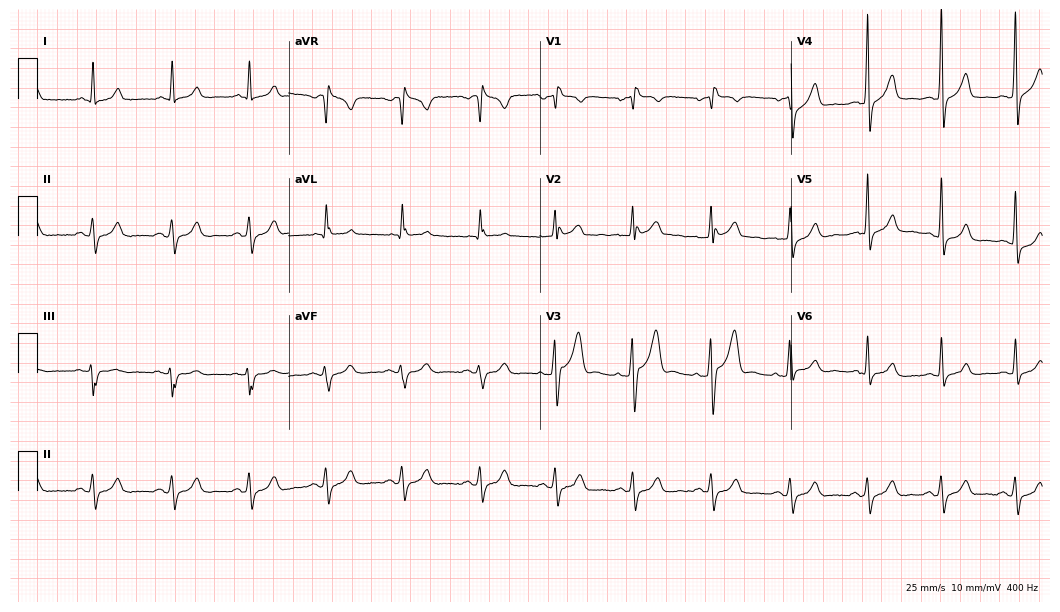
12-lead ECG from a 54-year-old male patient. Screened for six findings — first-degree AV block, right bundle branch block, left bundle branch block, sinus bradycardia, atrial fibrillation, sinus tachycardia — none is recorded.